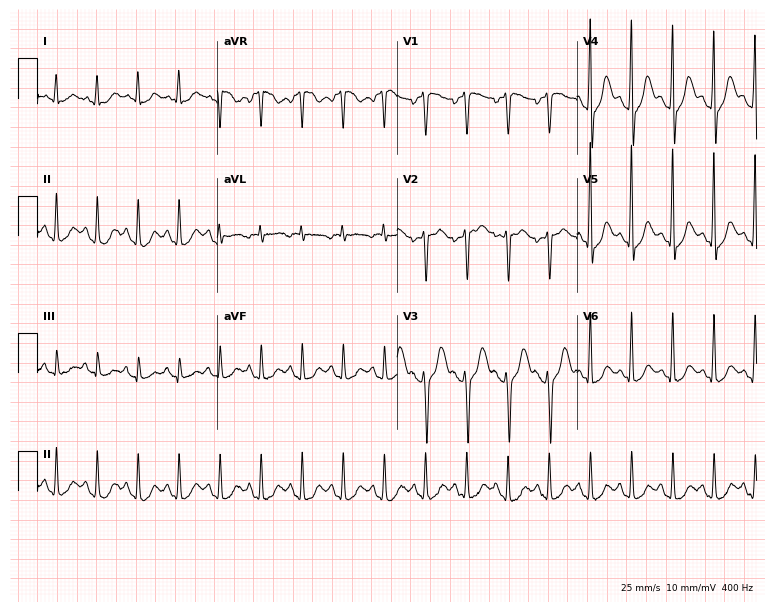
ECG — a woman, 57 years old. Findings include sinus tachycardia (a sinus rate of 100 beats per minute or more).